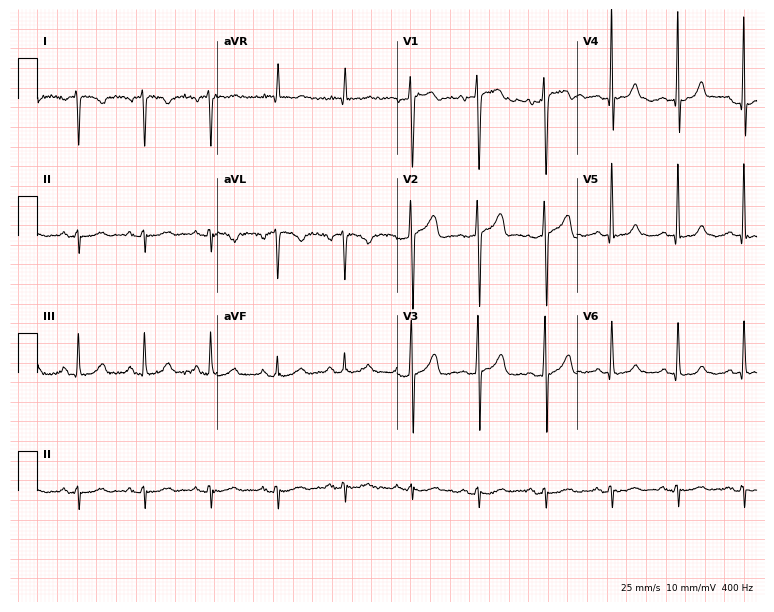
Standard 12-lead ECG recorded from a man, 58 years old (7.3-second recording at 400 Hz). None of these six findings is recorded: first-degree AV block, right bundle branch block, left bundle branch block, sinus bradycardia, atrial fibrillation, sinus tachycardia. Findings outside these six are not listed.